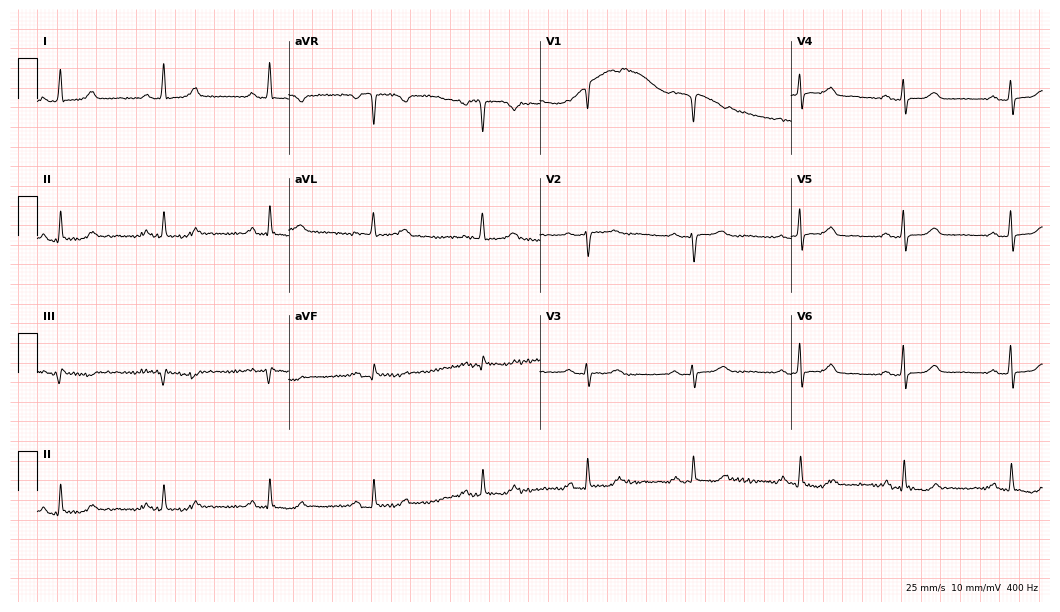
12-lead ECG (10.2-second recording at 400 Hz) from a female patient, 64 years old. Labelled as a normal ECG.